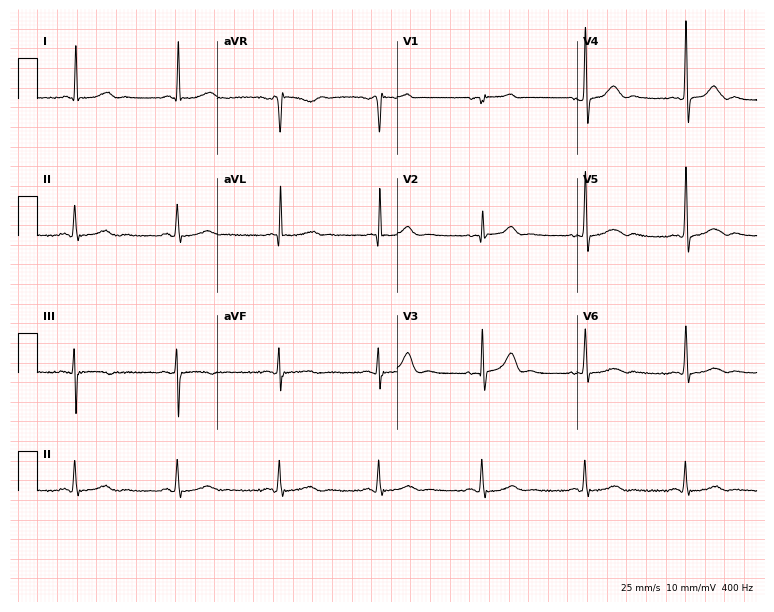
12-lead ECG (7.3-second recording at 400 Hz) from a woman, 78 years old. Labelled as a normal ECG.